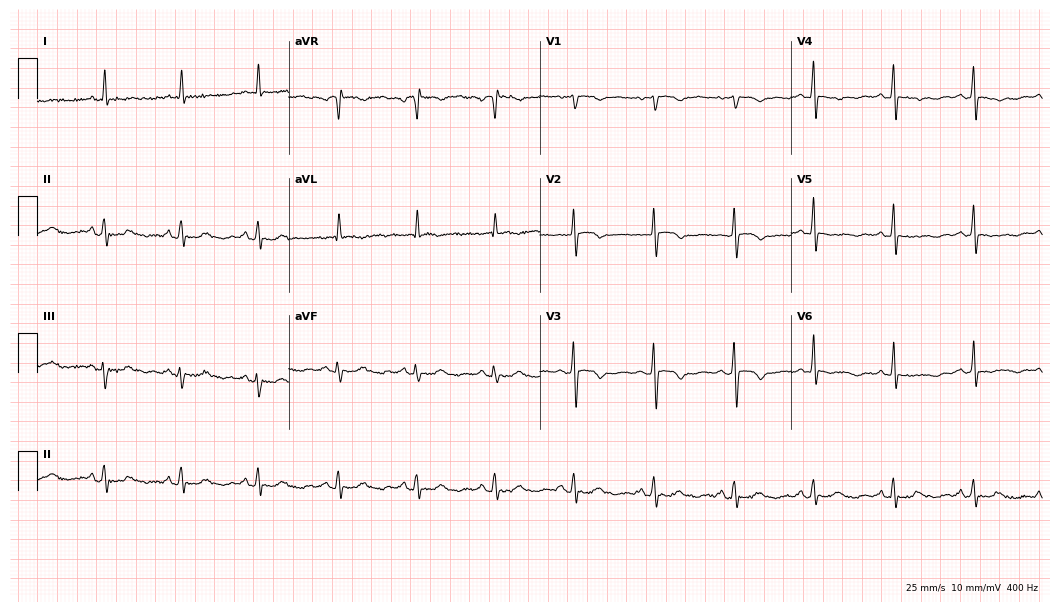
Electrocardiogram, a 56-year-old female. Of the six screened findings (first-degree AV block, right bundle branch block, left bundle branch block, sinus bradycardia, atrial fibrillation, sinus tachycardia), none is recorded. Only these six findings were labelled.